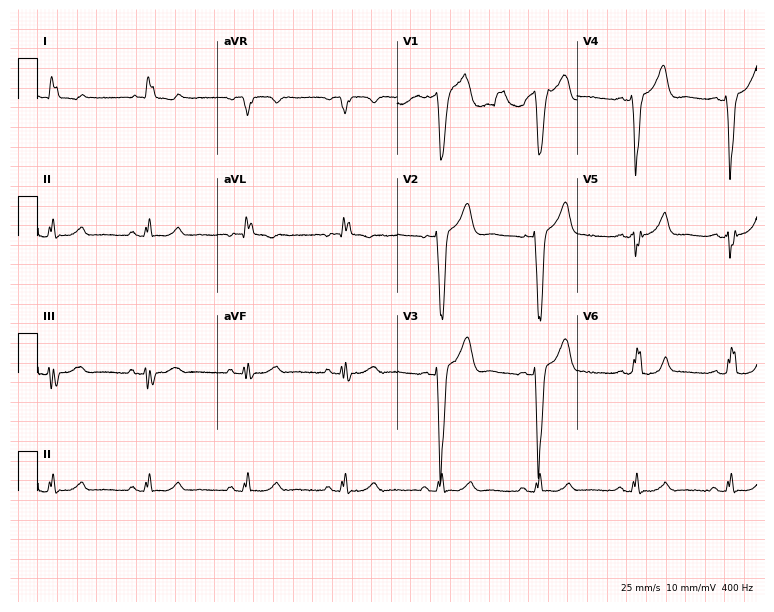
ECG (7.3-second recording at 400 Hz) — a 66-year-old man. Findings include left bundle branch block.